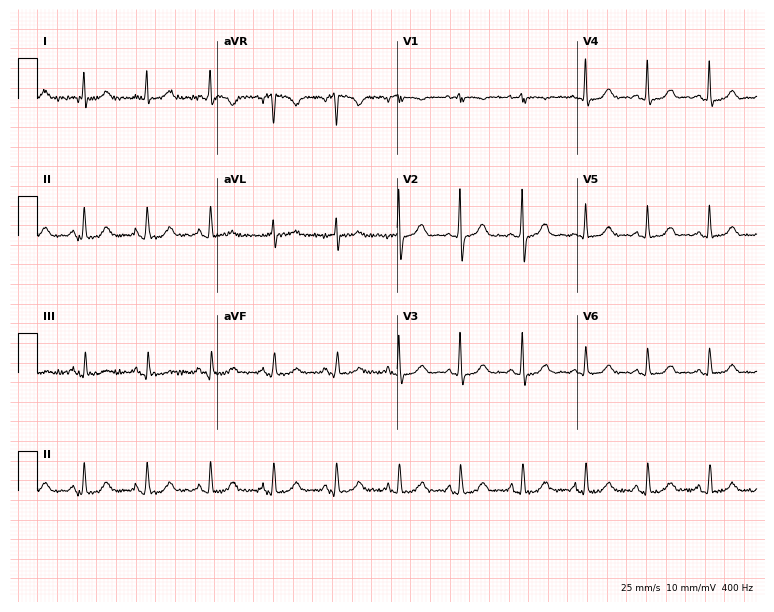
12-lead ECG from a female patient, 71 years old (7.3-second recording at 400 Hz). Recorded interpretation: within normal limits.